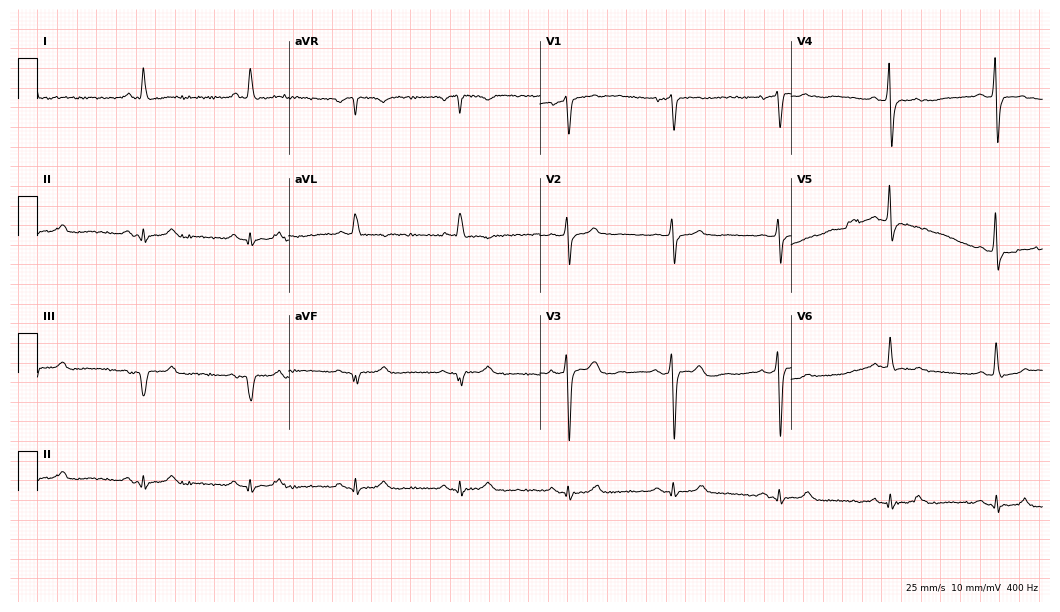
Electrocardiogram (10.2-second recording at 400 Hz), a 63-year-old male patient. Of the six screened findings (first-degree AV block, right bundle branch block (RBBB), left bundle branch block (LBBB), sinus bradycardia, atrial fibrillation (AF), sinus tachycardia), none is recorded.